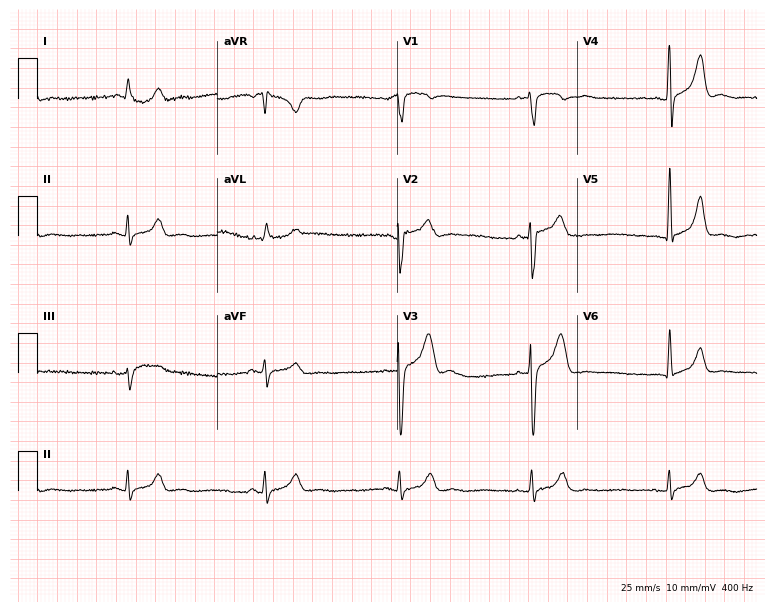
Resting 12-lead electrocardiogram (7.3-second recording at 400 Hz). Patient: a 36-year-old male. The tracing shows sinus bradycardia (a sinus rate of 50 beats per minute or less).